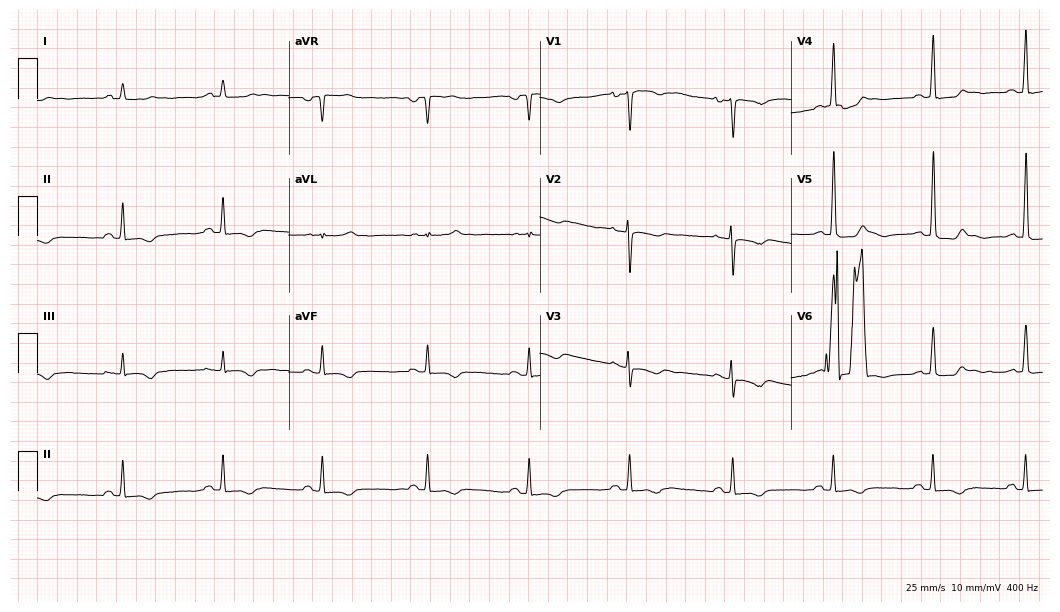
12-lead ECG from a female, 36 years old (10.2-second recording at 400 Hz). No first-degree AV block, right bundle branch block (RBBB), left bundle branch block (LBBB), sinus bradycardia, atrial fibrillation (AF) or sinus tachycardia recorded for this tracing. Only these six findings were labelled.